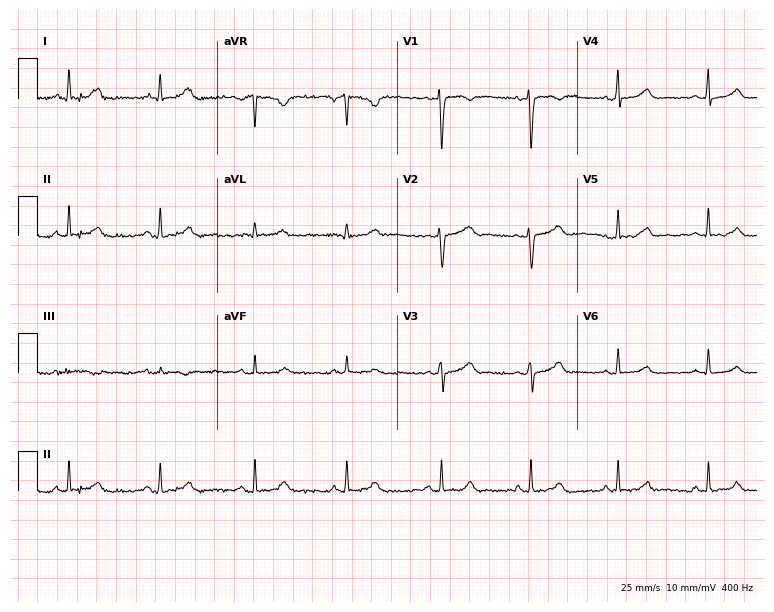
Electrocardiogram, a female patient, 37 years old. Of the six screened findings (first-degree AV block, right bundle branch block, left bundle branch block, sinus bradycardia, atrial fibrillation, sinus tachycardia), none is recorded. Findings outside these six are not listed.